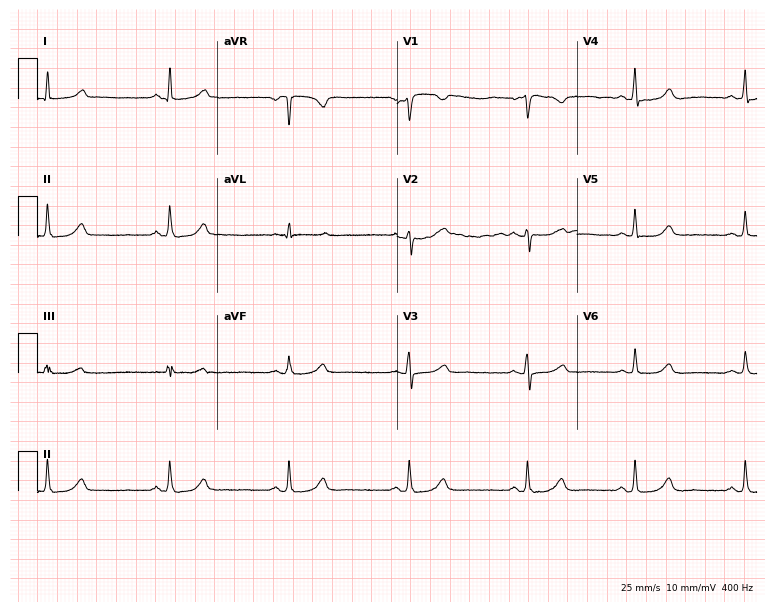
12-lead ECG from a 49-year-old female (7.3-second recording at 400 Hz). Shows sinus bradycardia (a sinus rate of 50 beats per minute or less).